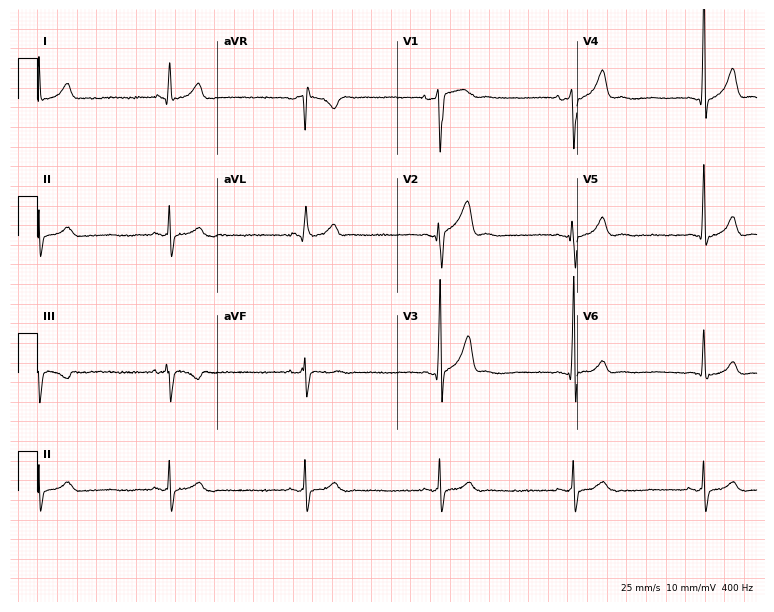
Electrocardiogram, a man, 26 years old. Interpretation includes sinus bradycardia (a sinus rate of 50 beats per minute or less).